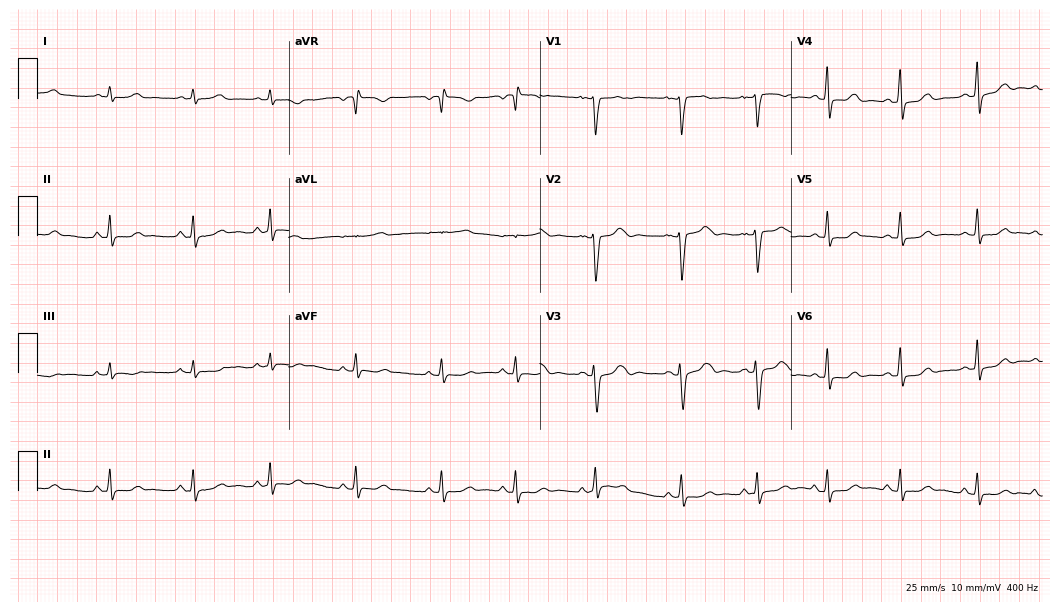
12-lead ECG from a female patient, 42 years old. No first-degree AV block, right bundle branch block, left bundle branch block, sinus bradycardia, atrial fibrillation or sinus tachycardia recorded for this tracing.